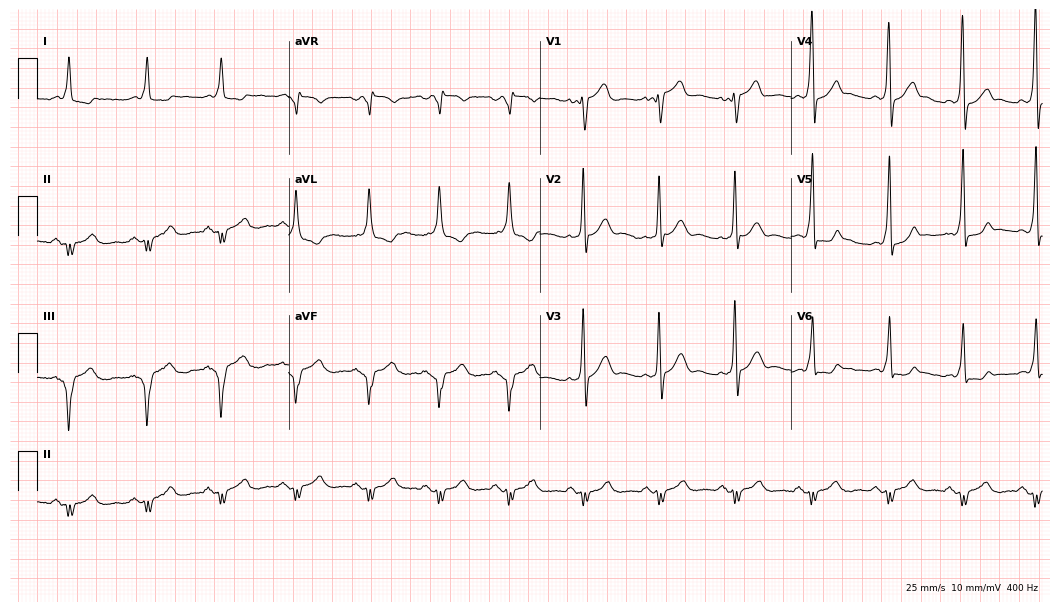
Electrocardiogram (10.2-second recording at 400 Hz), a male patient, 28 years old. Of the six screened findings (first-degree AV block, right bundle branch block, left bundle branch block, sinus bradycardia, atrial fibrillation, sinus tachycardia), none is recorded. Other findings, if any, are not listed.